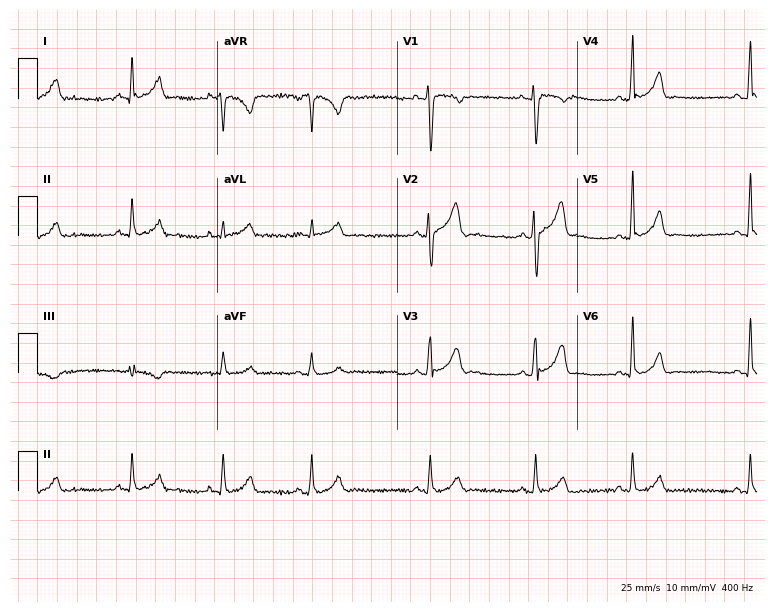
Standard 12-lead ECG recorded from a 27-year-old male patient (7.3-second recording at 400 Hz). Read as a normal ECG.